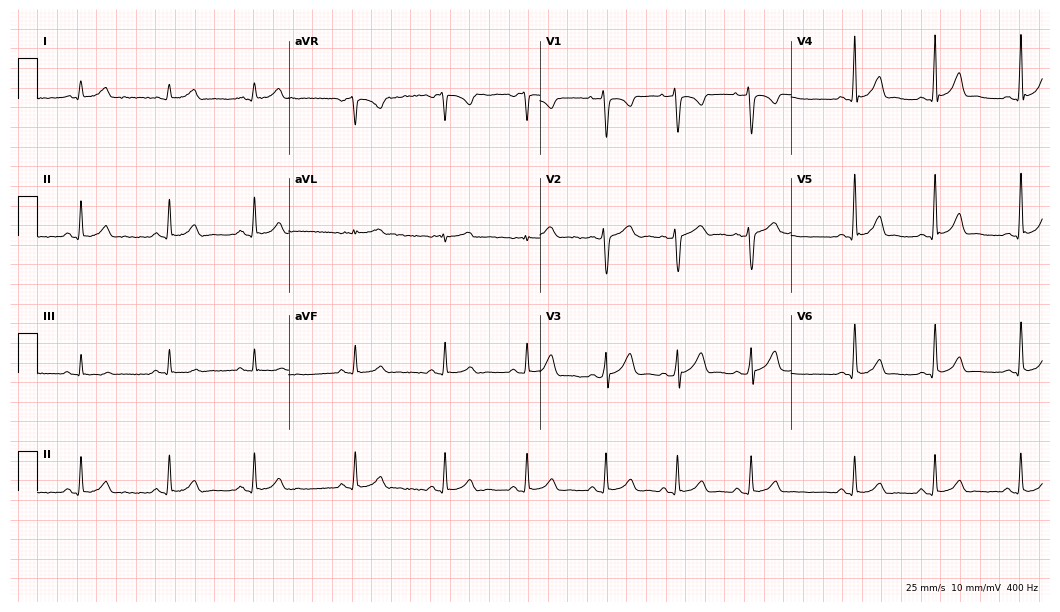
Standard 12-lead ECG recorded from a female patient, 37 years old (10.2-second recording at 400 Hz). Read as a normal ECG.